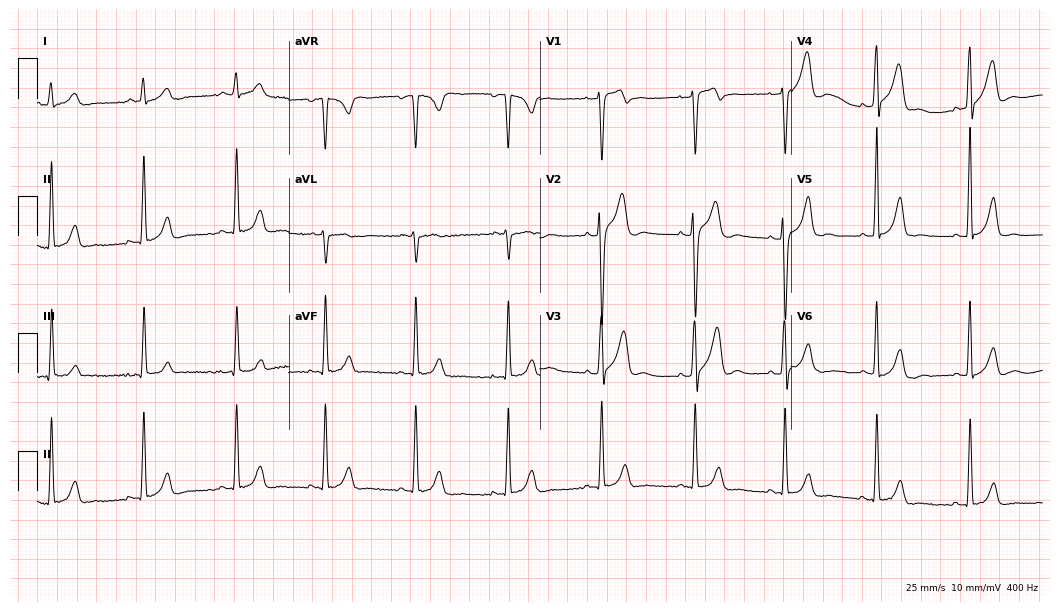
ECG — a 38-year-old male patient. Screened for six findings — first-degree AV block, right bundle branch block, left bundle branch block, sinus bradycardia, atrial fibrillation, sinus tachycardia — none is recorded. Other findings, if any, are not listed.